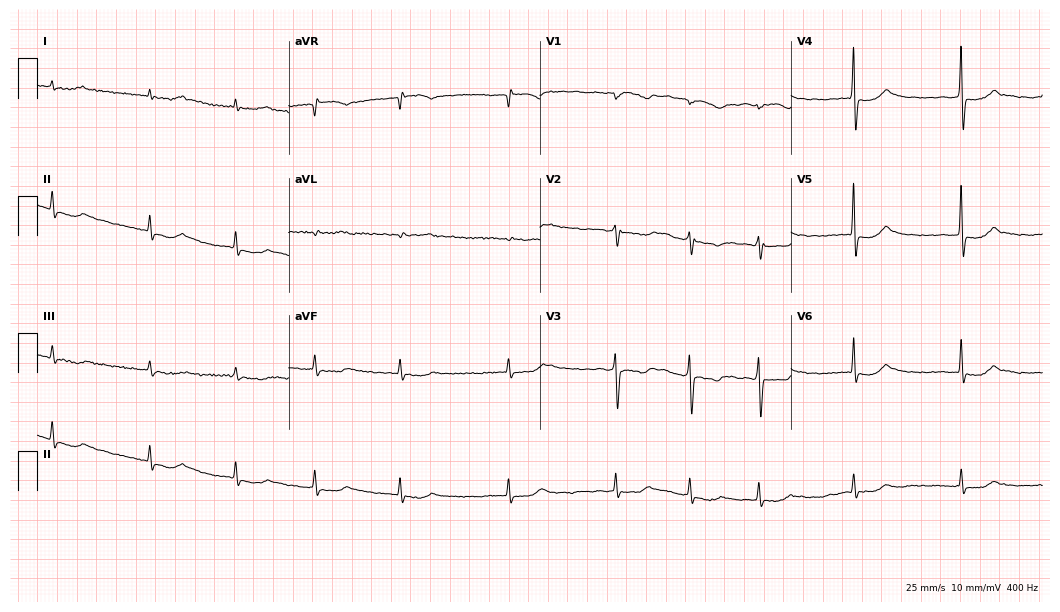
Standard 12-lead ECG recorded from an 81-year-old man (10.2-second recording at 400 Hz). The tracing shows atrial fibrillation.